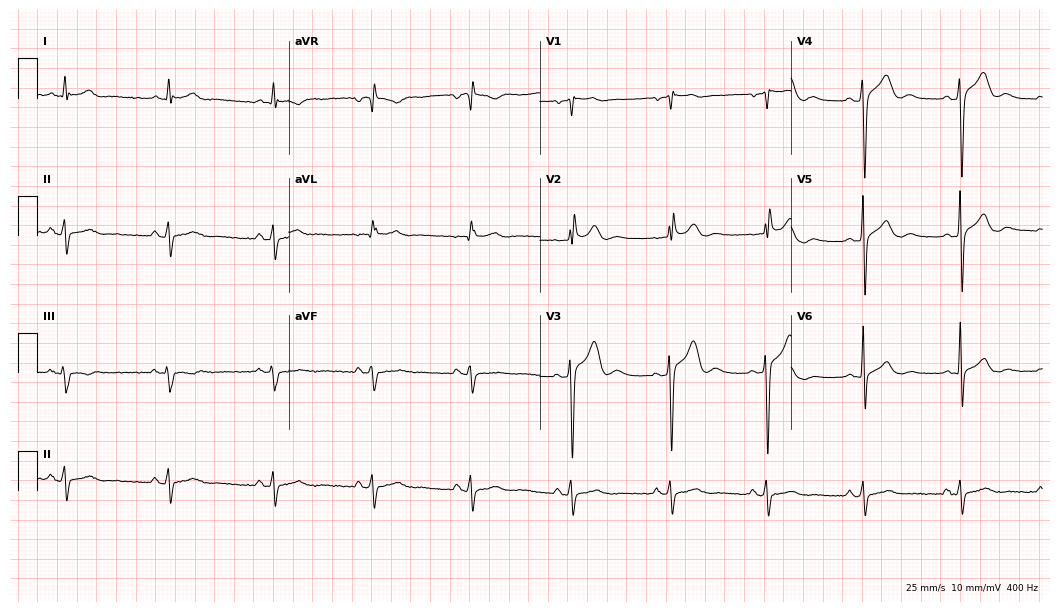
12-lead ECG from a male patient, 39 years old. No first-degree AV block, right bundle branch block (RBBB), left bundle branch block (LBBB), sinus bradycardia, atrial fibrillation (AF) or sinus tachycardia recorded for this tracing.